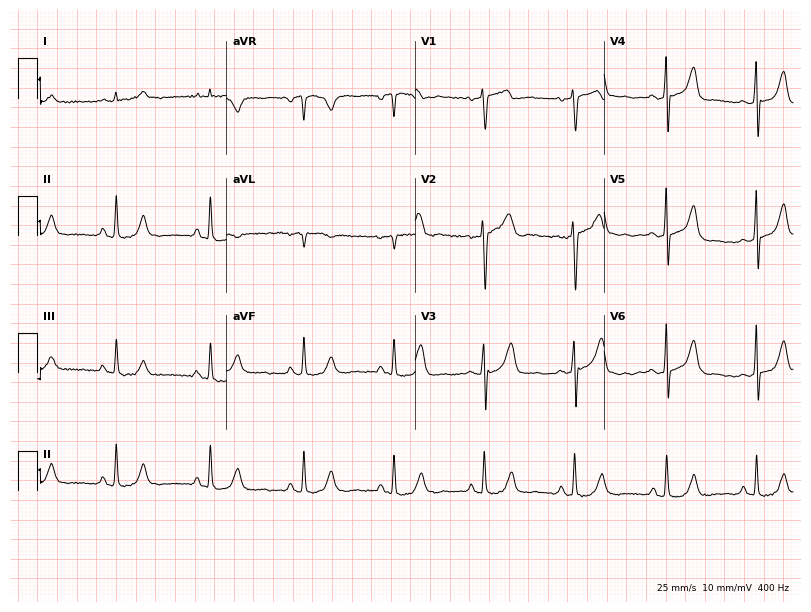
ECG — a male, 73 years old. Labelled as a normal ECG.